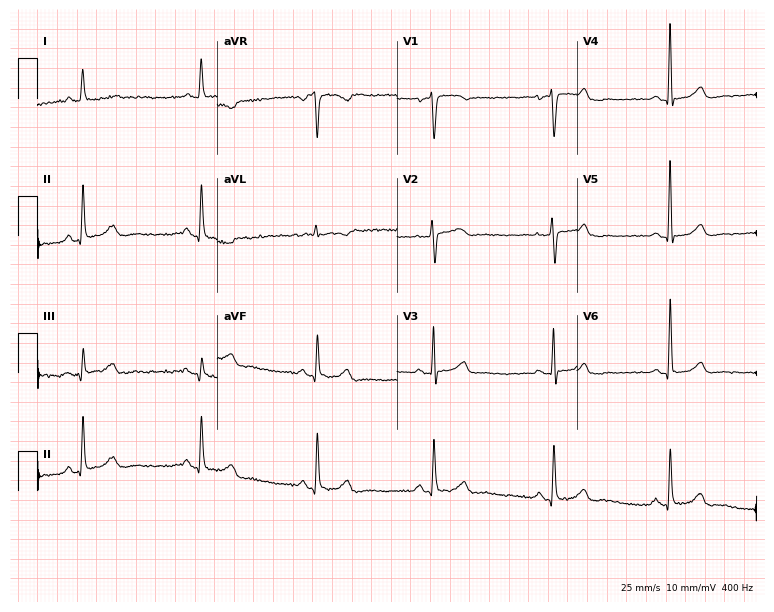
ECG (7.3-second recording at 400 Hz) — a 70-year-old woman. Screened for six findings — first-degree AV block, right bundle branch block, left bundle branch block, sinus bradycardia, atrial fibrillation, sinus tachycardia — none is recorded. Findings outside these six are not listed.